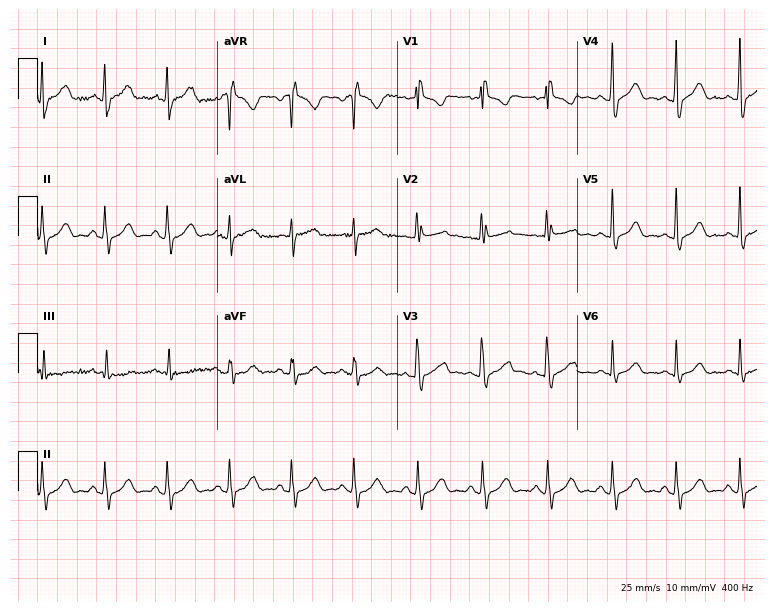
Electrocardiogram (7.3-second recording at 400 Hz), a 36-year-old female patient. Overall reading on record: normal ECG.